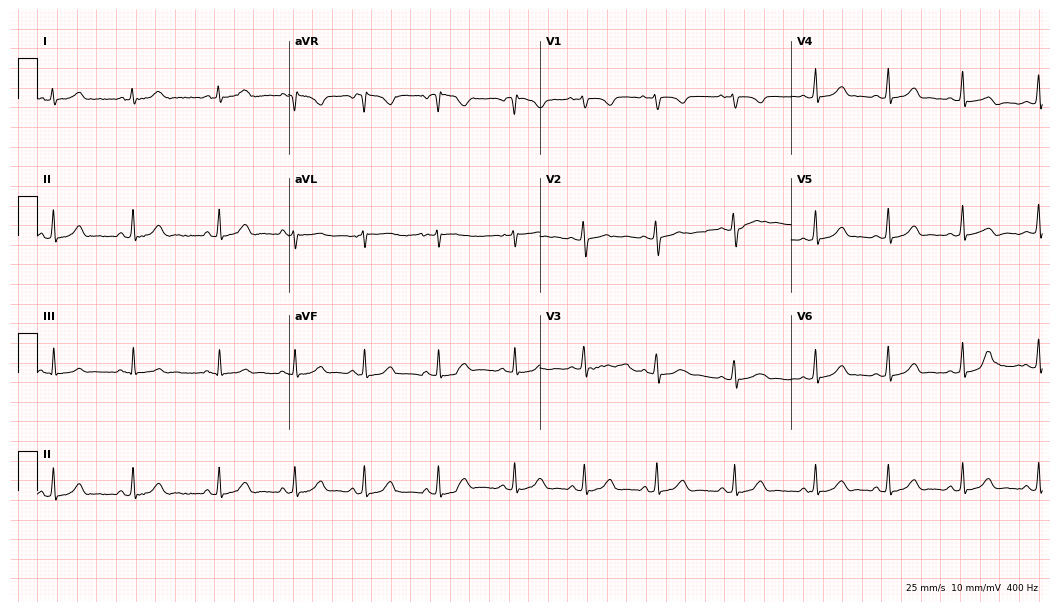
Resting 12-lead electrocardiogram (10.2-second recording at 400 Hz). Patient: a 17-year-old woman. Read as a normal ECG.